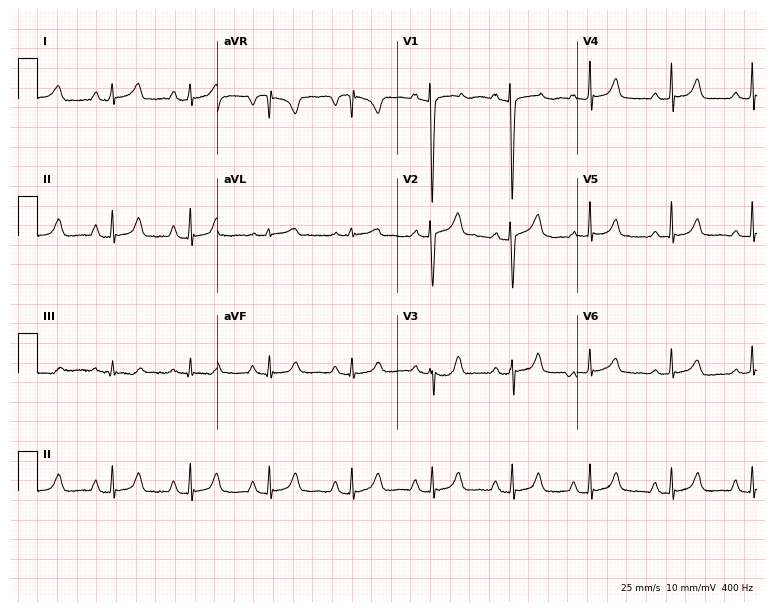
12-lead ECG from a 78-year-old woman. Screened for six findings — first-degree AV block, right bundle branch block, left bundle branch block, sinus bradycardia, atrial fibrillation, sinus tachycardia — none is recorded.